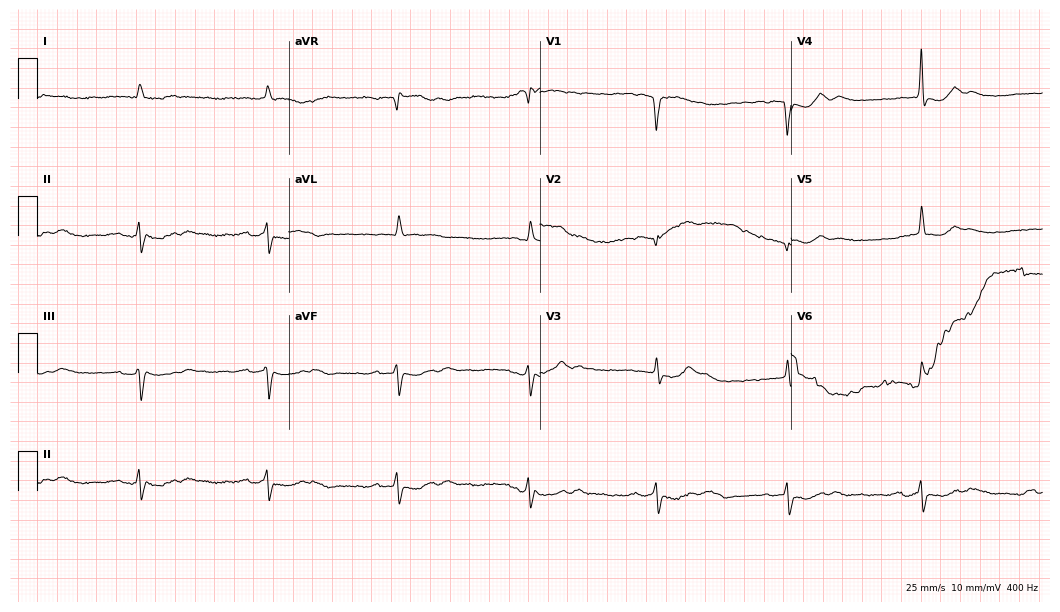
Standard 12-lead ECG recorded from an 84-year-old female patient (10.2-second recording at 400 Hz). None of these six findings is recorded: first-degree AV block, right bundle branch block (RBBB), left bundle branch block (LBBB), sinus bradycardia, atrial fibrillation (AF), sinus tachycardia. Findings outside these six are not listed.